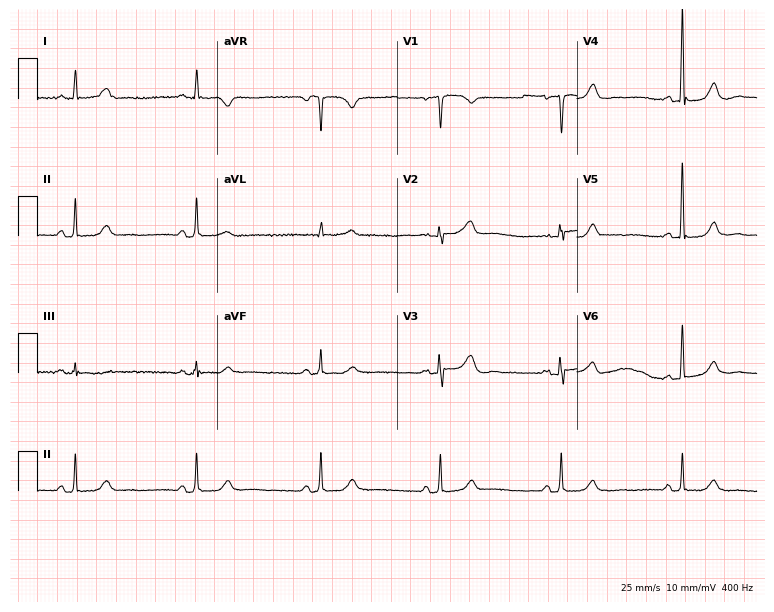
12-lead ECG (7.3-second recording at 400 Hz) from a woman, 64 years old. Findings include sinus bradycardia (a sinus rate of 50 beats per minute or less).